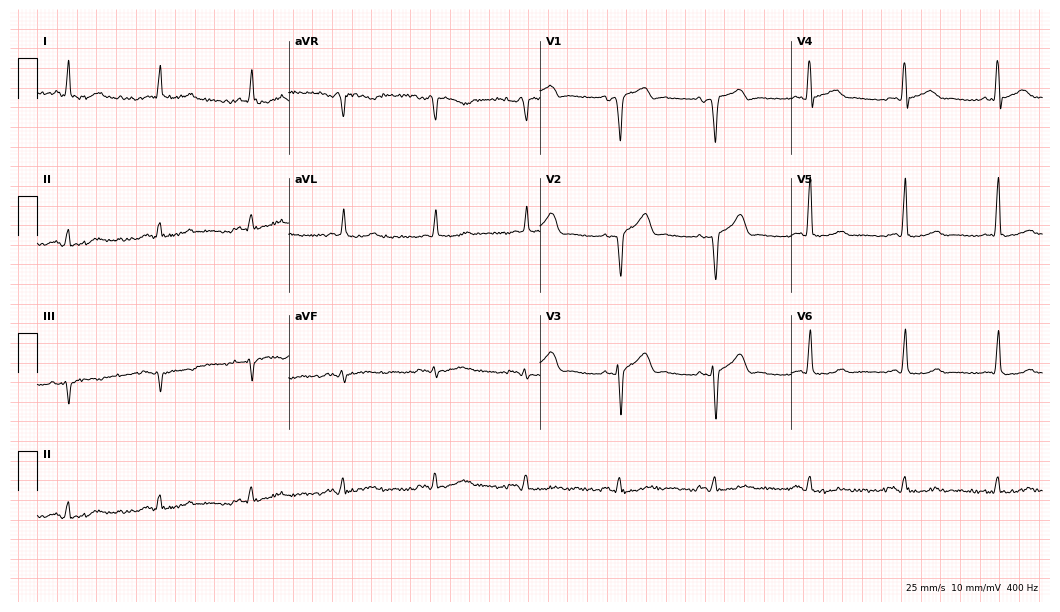
12-lead ECG from a 67-year-old male patient. Labelled as a normal ECG.